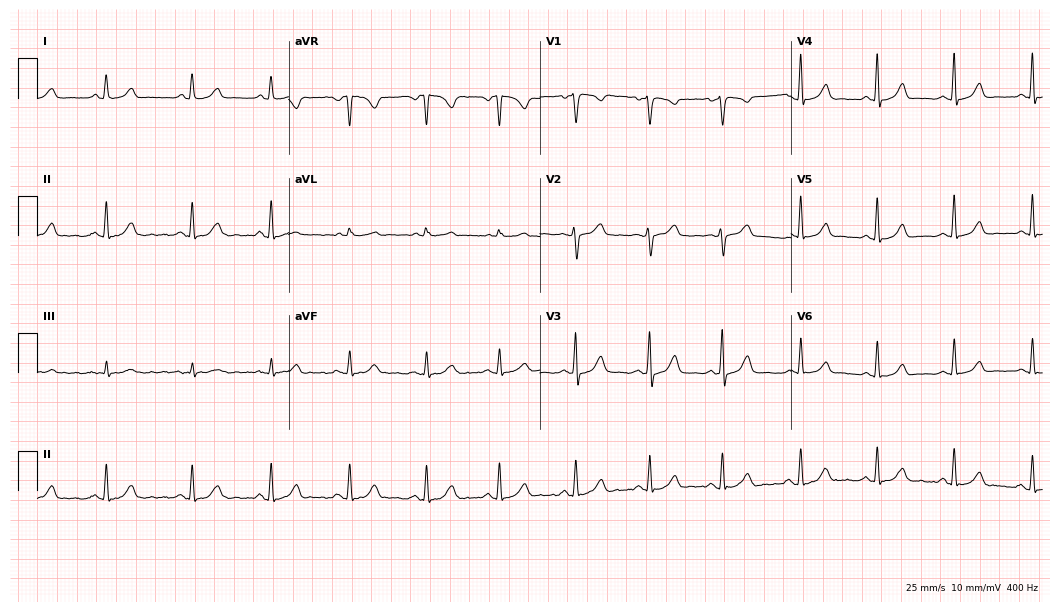
ECG (10.2-second recording at 400 Hz) — a 42-year-old female patient. Labelled as a normal ECG.